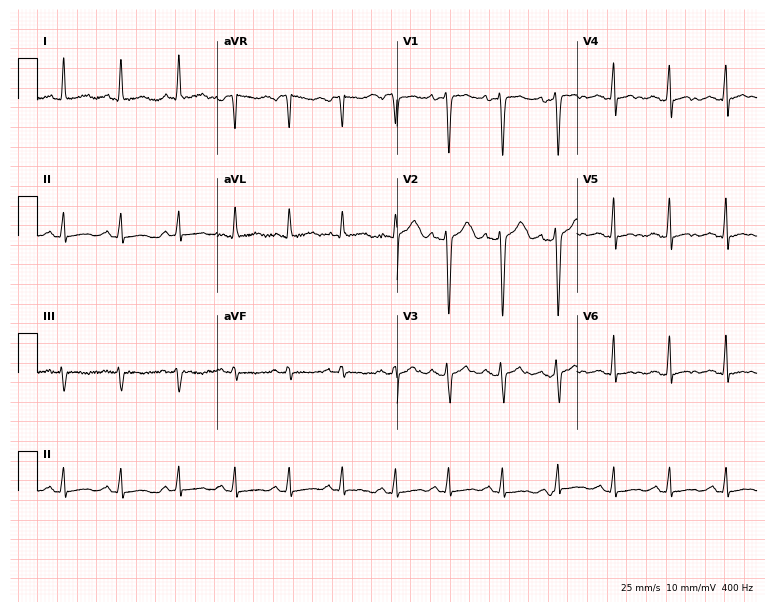
ECG (7.3-second recording at 400 Hz) — a woman, 43 years old. Findings include sinus tachycardia (a sinus rate of 100 beats per minute or more).